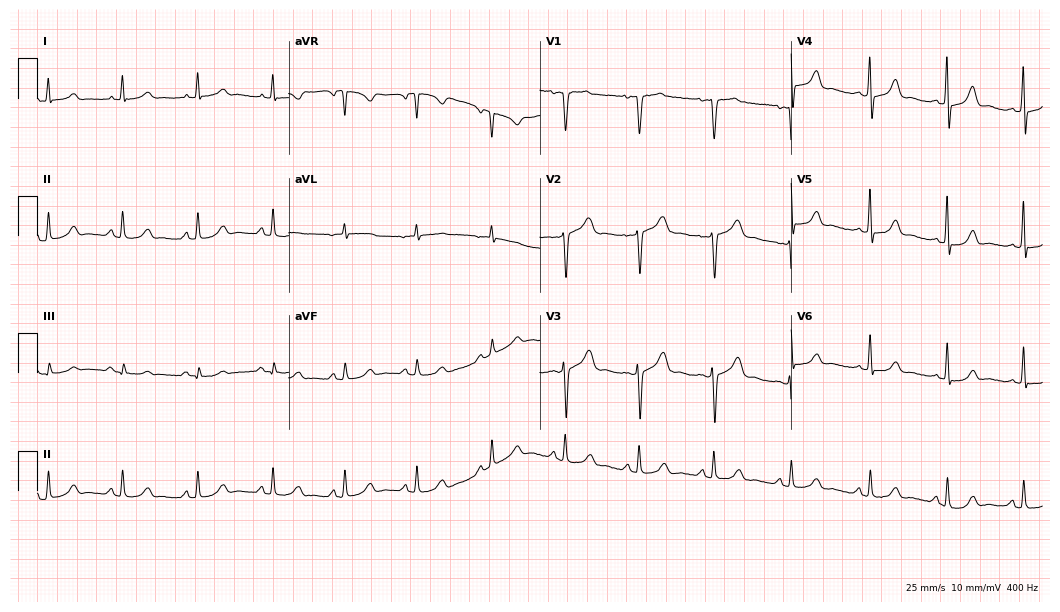
12-lead ECG from a 39-year-old female patient (10.2-second recording at 400 Hz). Recorded interpretation: within normal limits.